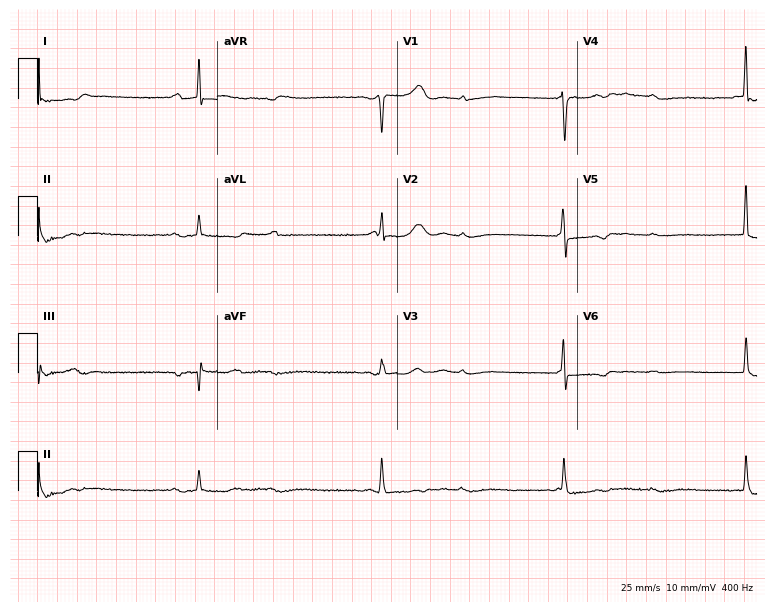
12-lead ECG from a woman, 78 years old. Screened for six findings — first-degree AV block, right bundle branch block, left bundle branch block, sinus bradycardia, atrial fibrillation, sinus tachycardia — none is recorded. Other findings, if any, are not listed.